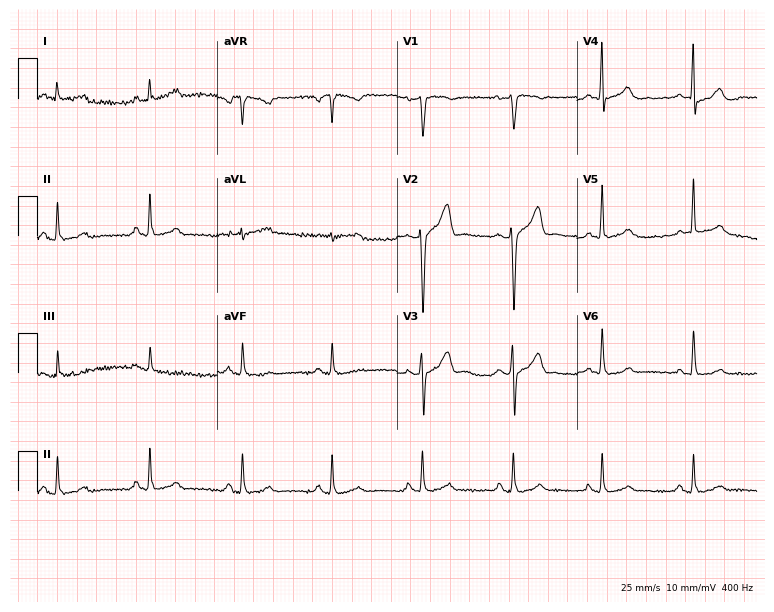
Electrocardiogram, a man, 43 years old. Of the six screened findings (first-degree AV block, right bundle branch block, left bundle branch block, sinus bradycardia, atrial fibrillation, sinus tachycardia), none is recorded. Findings outside these six are not listed.